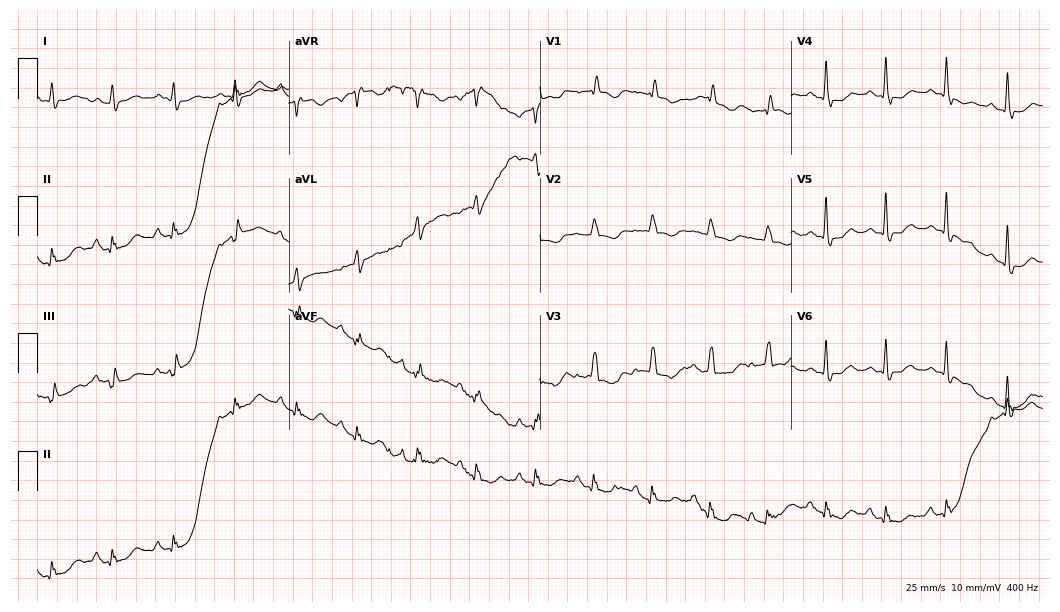
12-lead ECG (10.2-second recording at 400 Hz) from a 79-year-old female. Screened for six findings — first-degree AV block, right bundle branch block, left bundle branch block, sinus bradycardia, atrial fibrillation, sinus tachycardia — none is recorded. Findings outside these six are not listed.